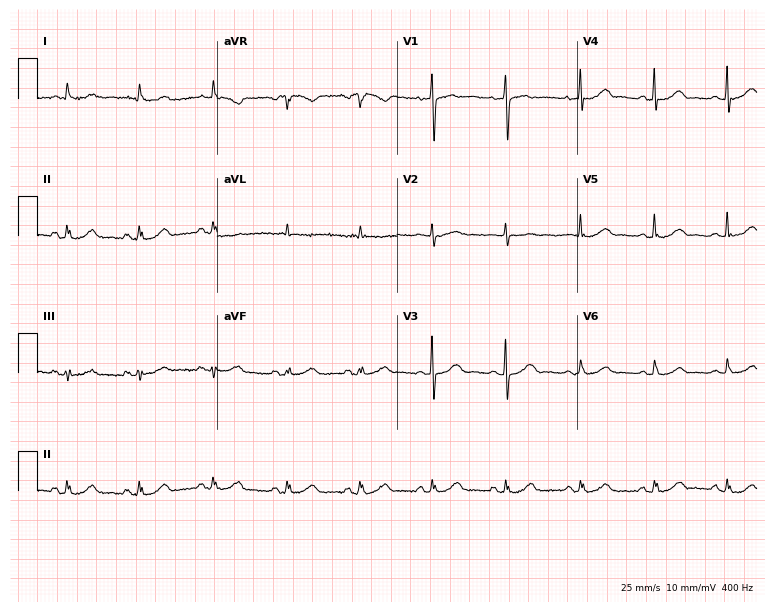
Standard 12-lead ECG recorded from an 81-year-old woman (7.3-second recording at 400 Hz). Read as a normal ECG.